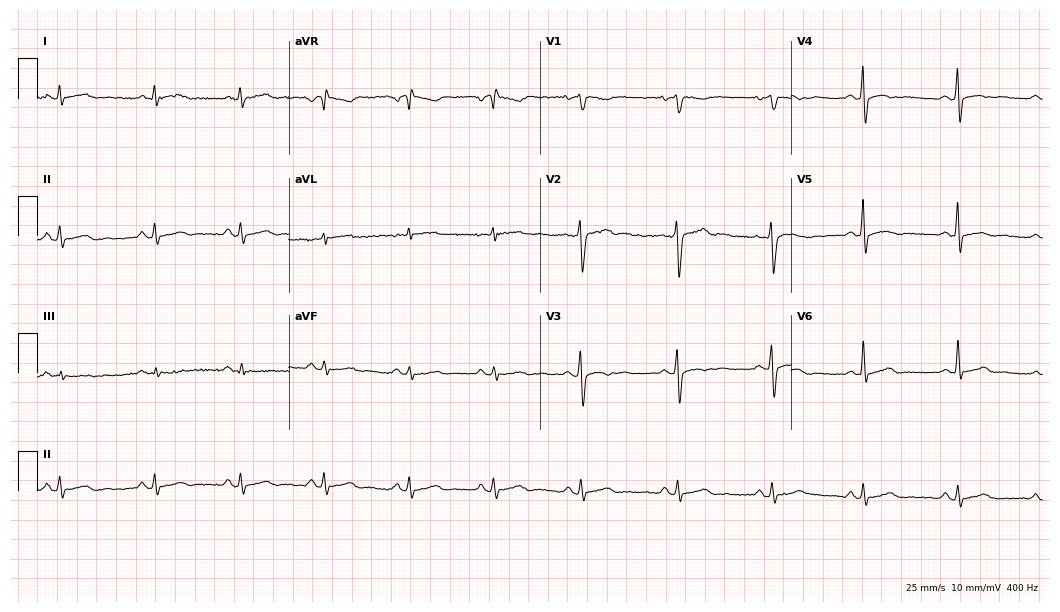
Standard 12-lead ECG recorded from a 30-year-old man. None of these six findings is recorded: first-degree AV block, right bundle branch block, left bundle branch block, sinus bradycardia, atrial fibrillation, sinus tachycardia. Other findings, if any, are not listed.